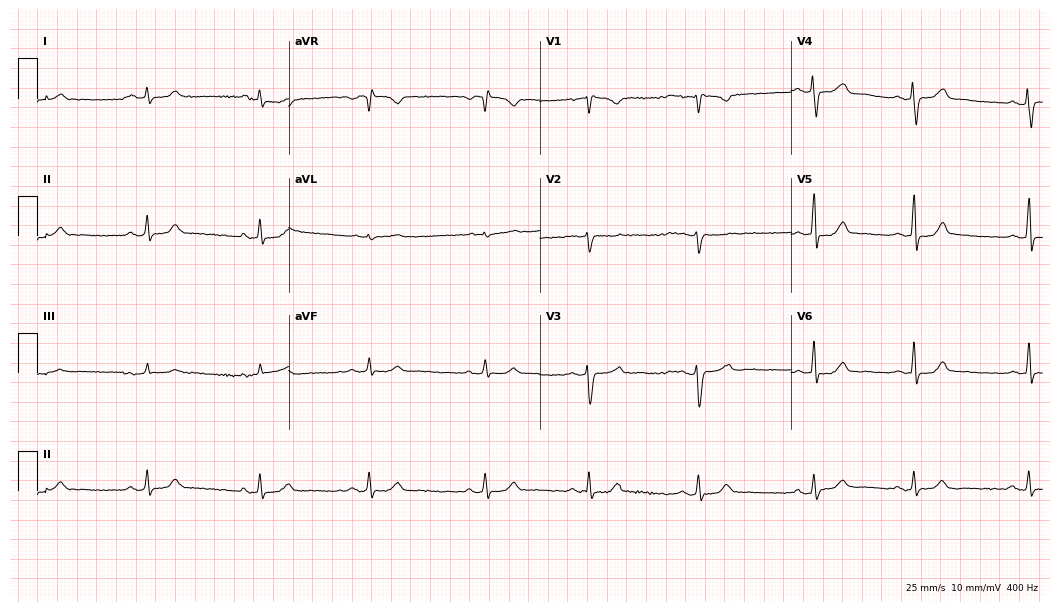
12-lead ECG from a woman, 35 years old. Labelled as a normal ECG.